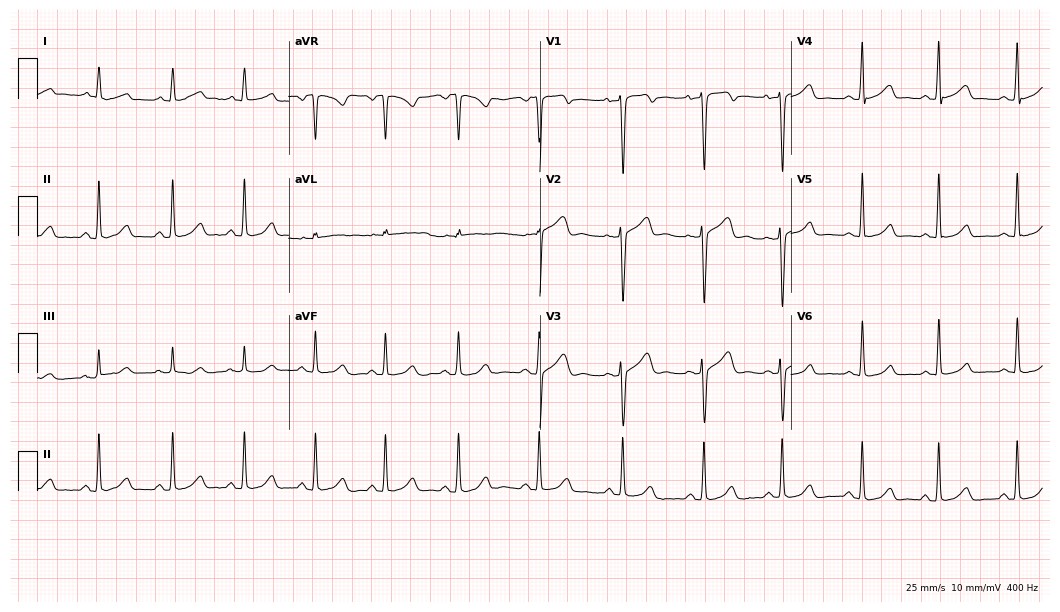
Resting 12-lead electrocardiogram. Patient: a female, 34 years old. Read as a normal ECG.